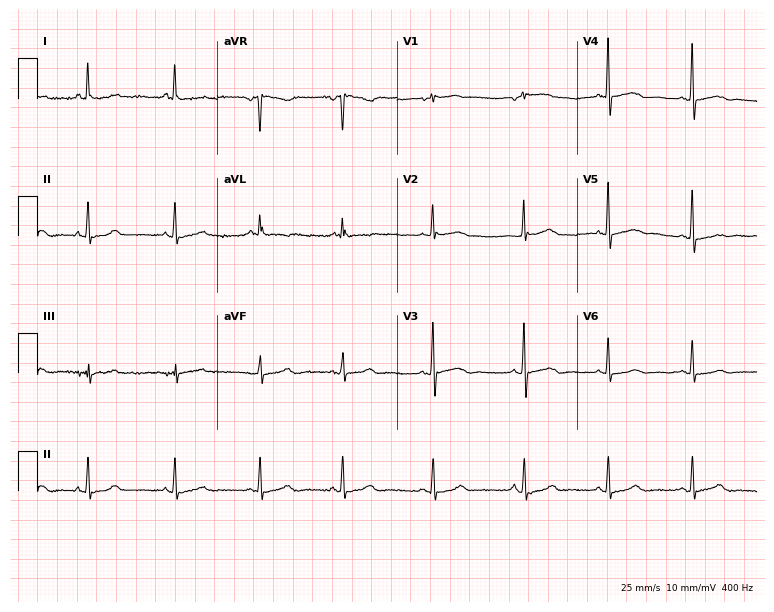
12-lead ECG from an 85-year-old female (7.3-second recording at 400 Hz). No first-degree AV block, right bundle branch block (RBBB), left bundle branch block (LBBB), sinus bradycardia, atrial fibrillation (AF) or sinus tachycardia recorded for this tracing.